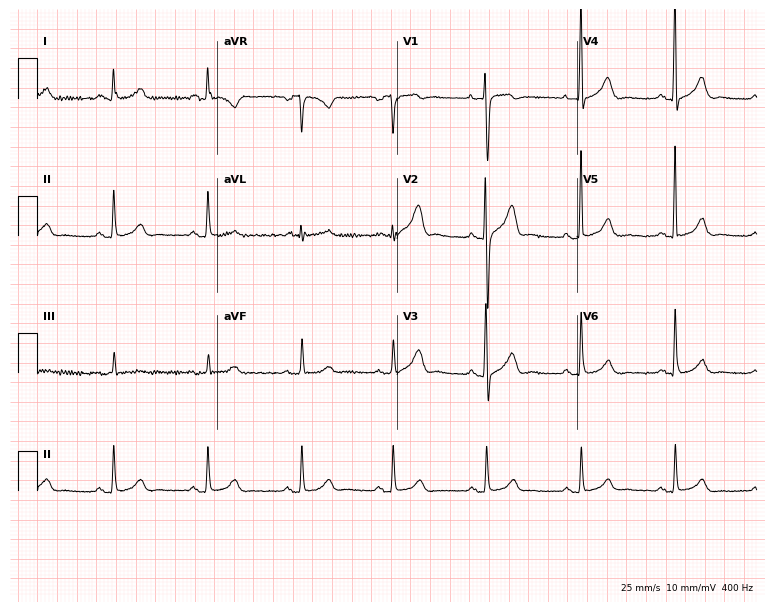
ECG — a male, 53 years old. Labelled as a normal ECG.